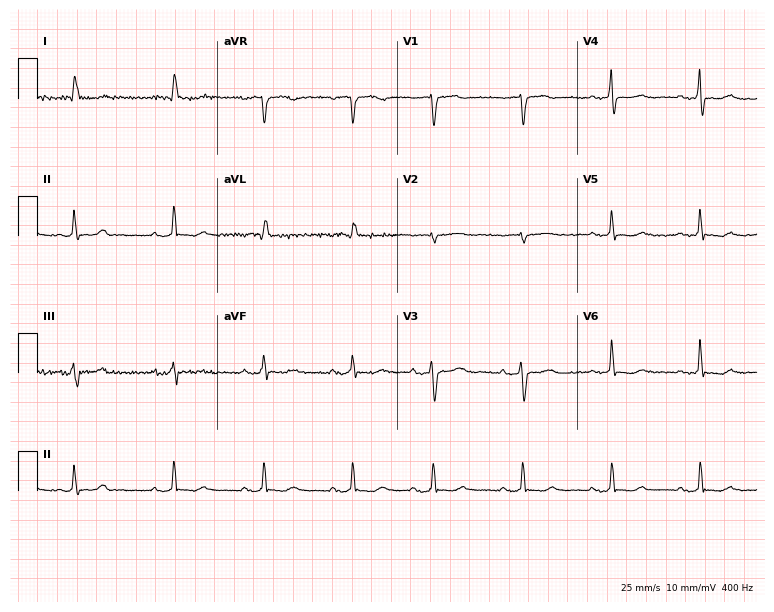
Resting 12-lead electrocardiogram. Patient: a female, 73 years old. The tracing shows first-degree AV block.